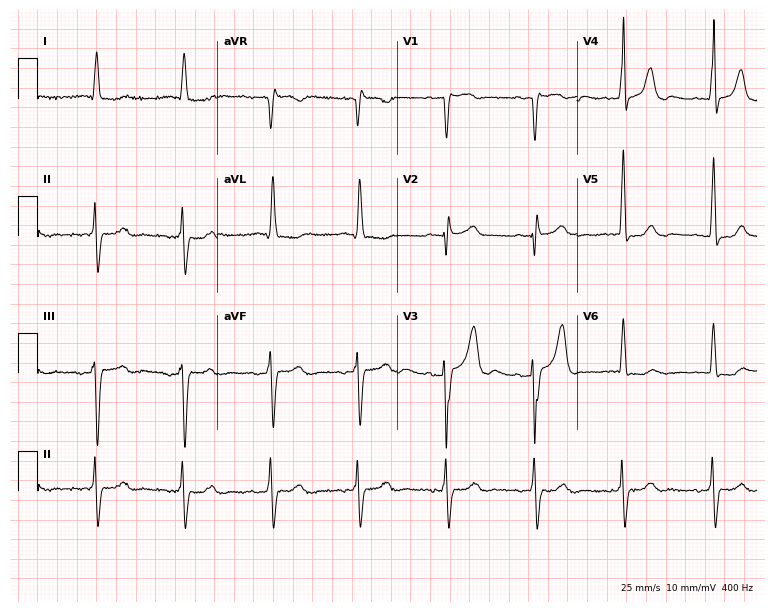
12-lead ECG from a male, 85 years old. No first-degree AV block, right bundle branch block (RBBB), left bundle branch block (LBBB), sinus bradycardia, atrial fibrillation (AF) or sinus tachycardia recorded for this tracing. Findings outside these six are not listed.